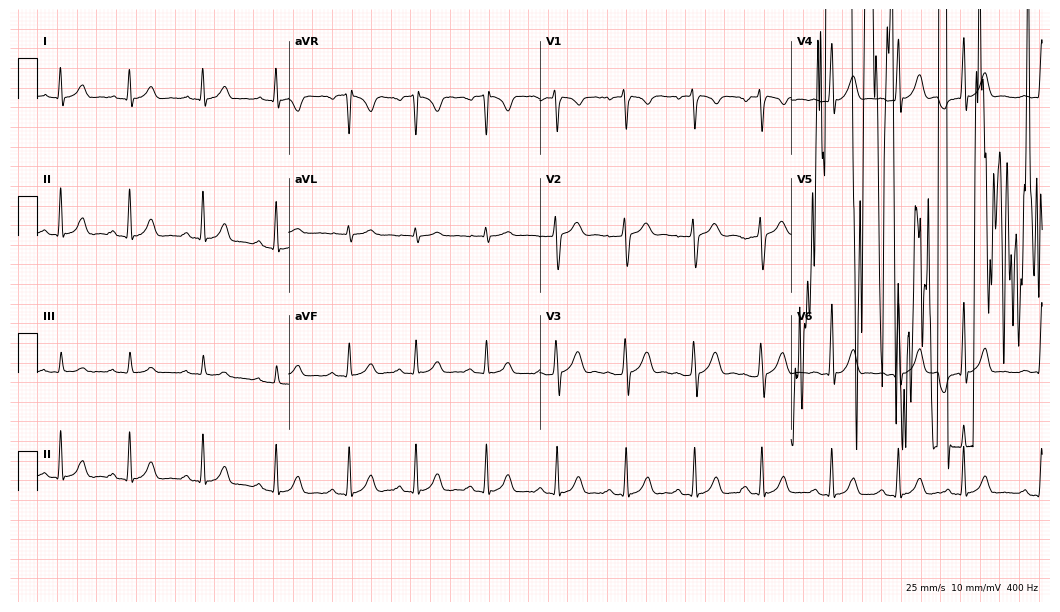
12-lead ECG from a 22-year-old man. No first-degree AV block, right bundle branch block (RBBB), left bundle branch block (LBBB), sinus bradycardia, atrial fibrillation (AF) or sinus tachycardia recorded for this tracing. Findings outside these six are not listed.